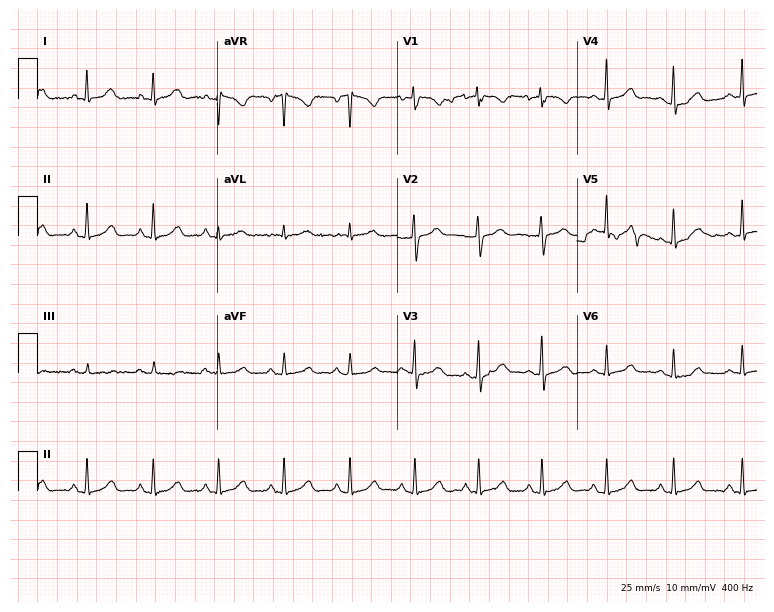
12-lead ECG from a female patient, 28 years old. Recorded interpretation: within normal limits.